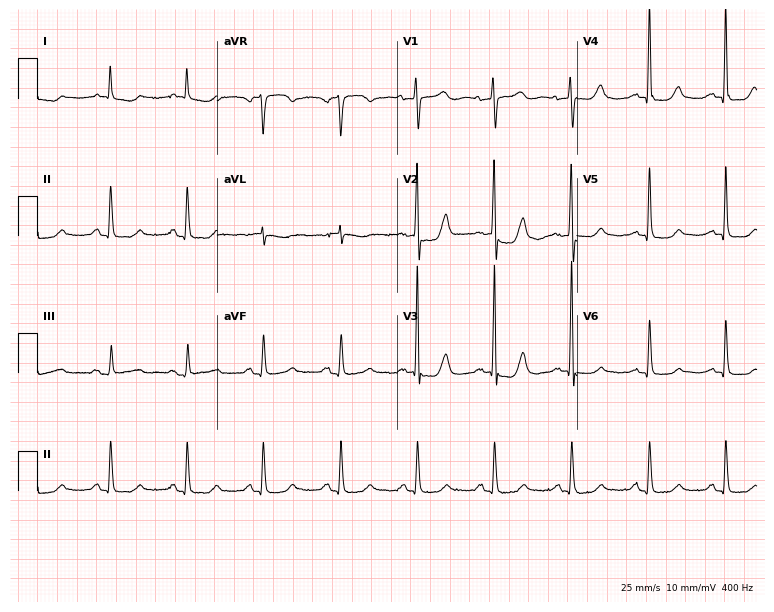
ECG — an 85-year-old male. Screened for six findings — first-degree AV block, right bundle branch block (RBBB), left bundle branch block (LBBB), sinus bradycardia, atrial fibrillation (AF), sinus tachycardia — none is recorded.